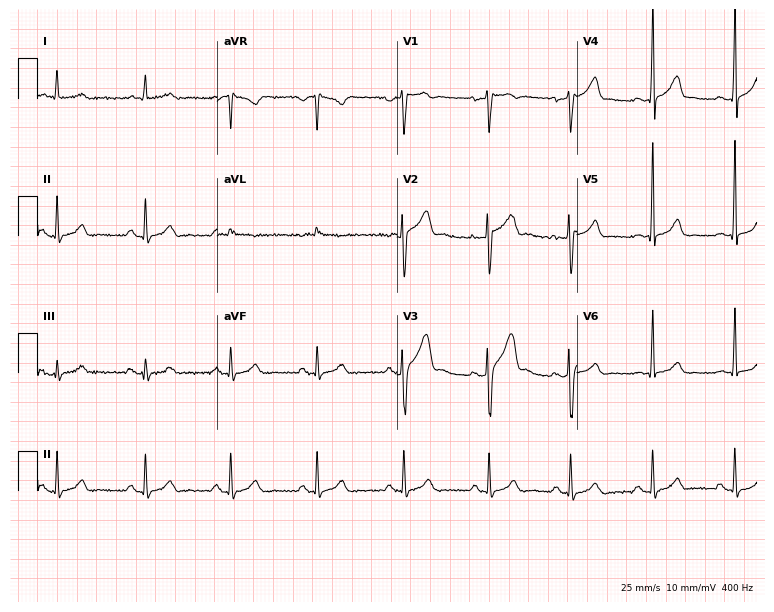
ECG (7.3-second recording at 400 Hz) — a 32-year-old male. Labelled as a normal ECG.